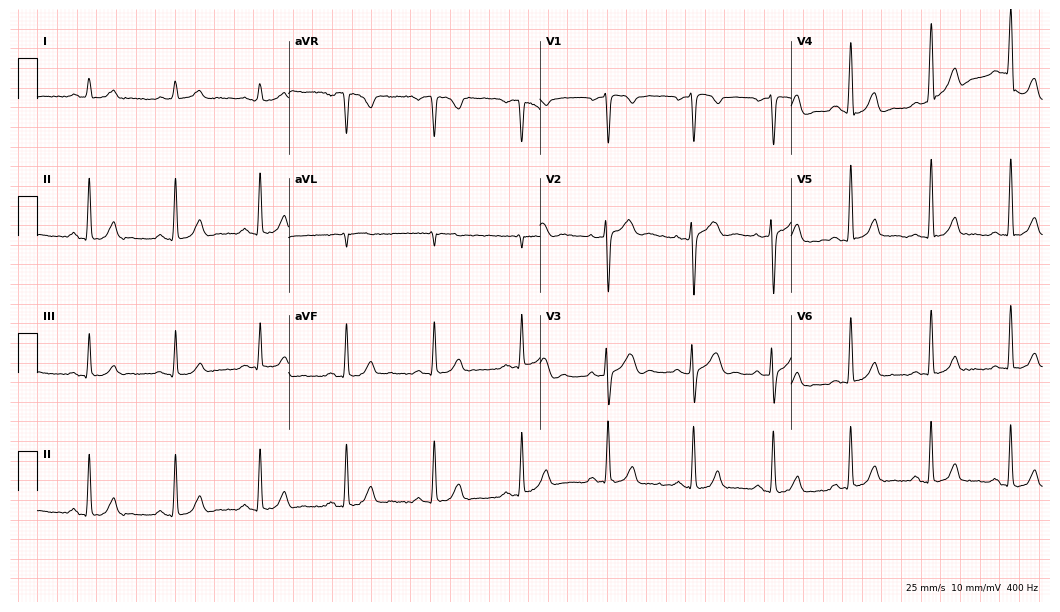
Resting 12-lead electrocardiogram. Patient: a man, 50 years old. Read as a normal ECG.